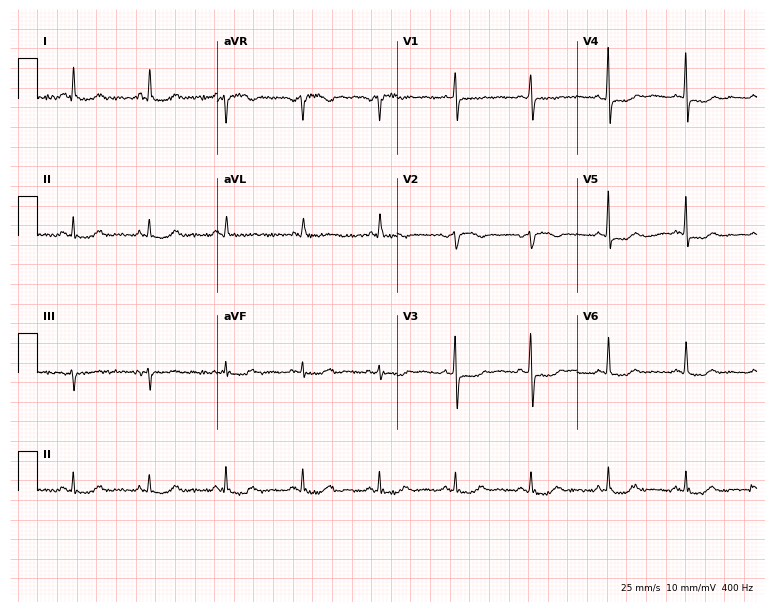
12-lead ECG from an 83-year-old female. Screened for six findings — first-degree AV block, right bundle branch block, left bundle branch block, sinus bradycardia, atrial fibrillation, sinus tachycardia — none is recorded.